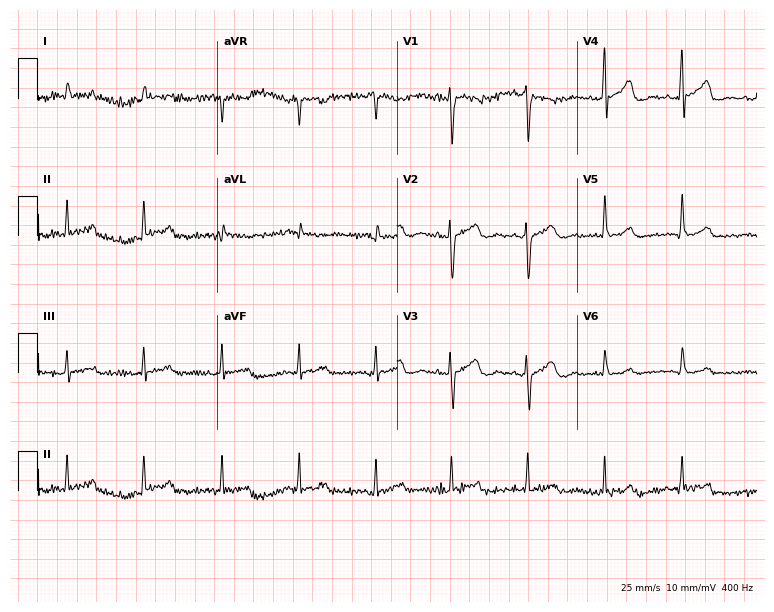
Electrocardiogram, a 72-year-old male. Of the six screened findings (first-degree AV block, right bundle branch block (RBBB), left bundle branch block (LBBB), sinus bradycardia, atrial fibrillation (AF), sinus tachycardia), none is recorded. Findings outside these six are not listed.